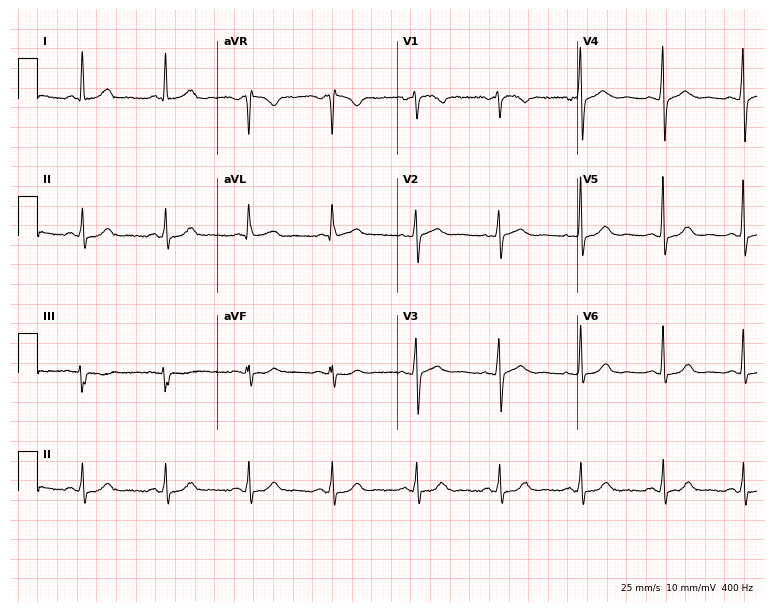
12-lead ECG from a 58-year-old woman (7.3-second recording at 400 Hz). No first-degree AV block, right bundle branch block (RBBB), left bundle branch block (LBBB), sinus bradycardia, atrial fibrillation (AF) or sinus tachycardia recorded for this tracing. Findings outside these six are not listed.